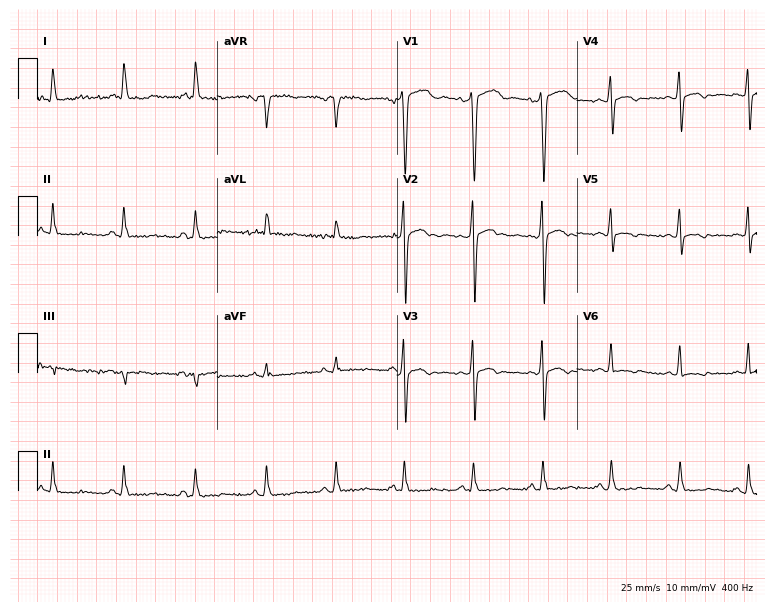
ECG — a male, 50 years old. Screened for six findings — first-degree AV block, right bundle branch block, left bundle branch block, sinus bradycardia, atrial fibrillation, sinus tachycardia — none is recorded. Only these six findings were labelled.